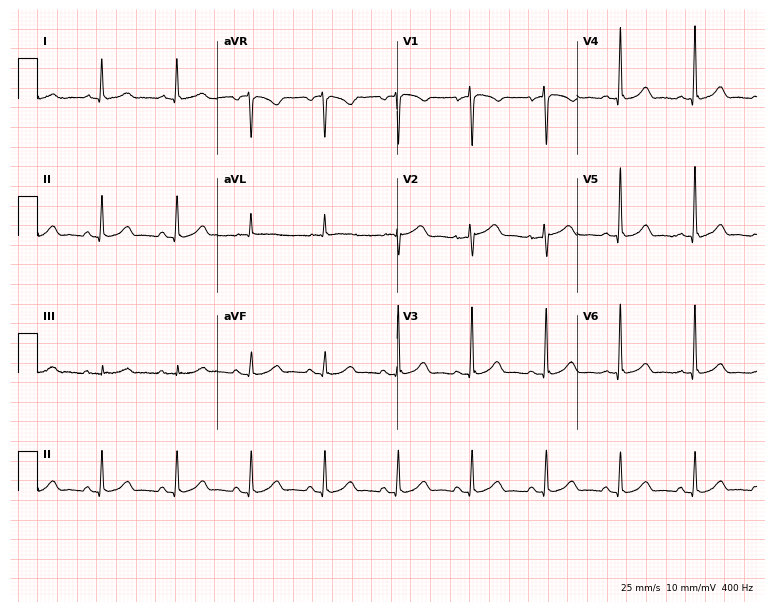
Resting 12-lead electrocardiogram (7.3-second recording at 400 Hz). Patient: a woman, 54 years old. None of these six findings is recorded: first-degree AV block, right bundle branch block, left bundle branch block, sinus bradycardia, atrial fibrillation, sinus tachycardia.